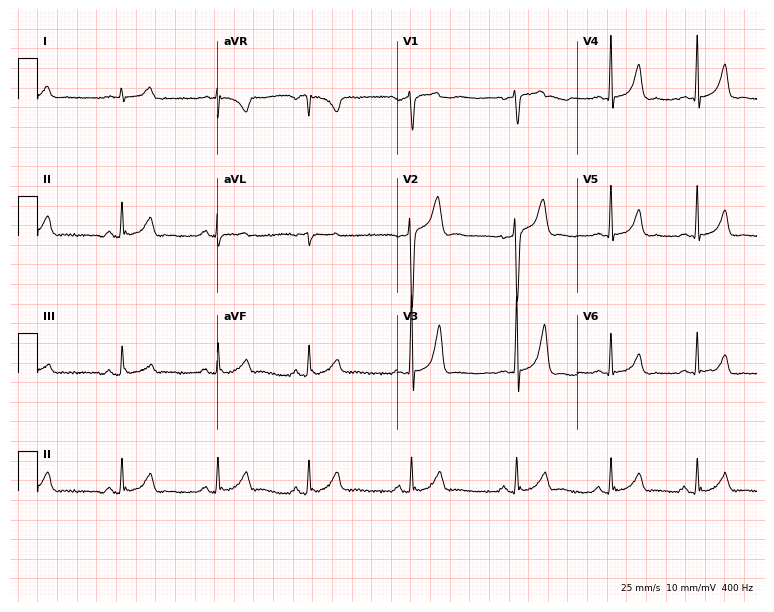
12-lead ECG from a 26-year-old male (7.3-second recording at 400 Hz). Recorded interpretation: within normal limits.